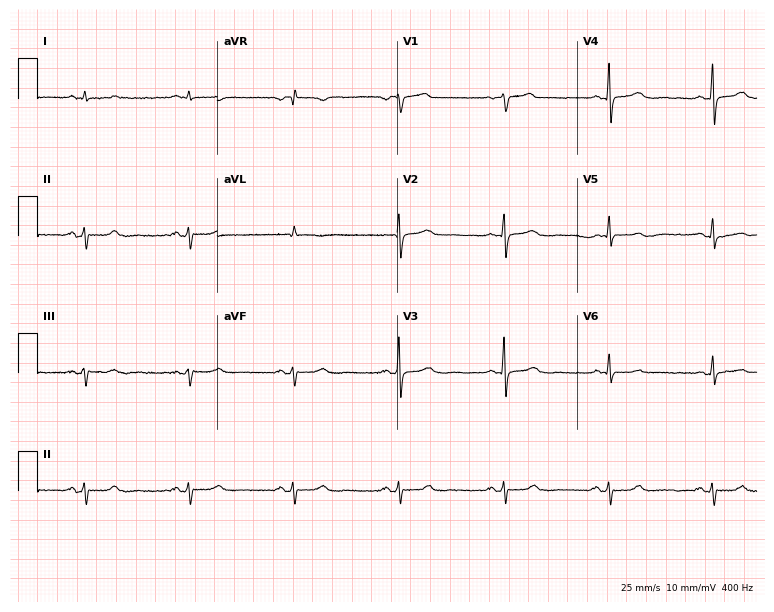
Standard 12-lead ECG recorded from a male, 76 years old (7.3-second recording at 400 Hz). None of these six findings is recorded: first-degree AV block, right bundle branch block, left bundle branch block, sinus bradycardia, atrial fibrillation, sinus tachycardia.